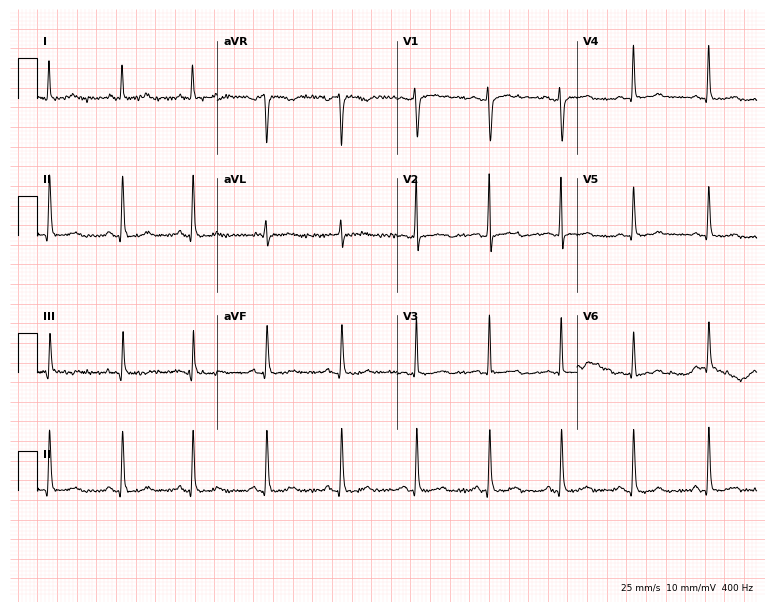
12-lead ECG from a female patient, 48 years old (7.3-second recording at 400 Hz). No first-degree AV block, right bundle branch block, left bundle branch block, sinus bradycardia, atrial fibrillation or sinus tachycardia recorded for this tracing.